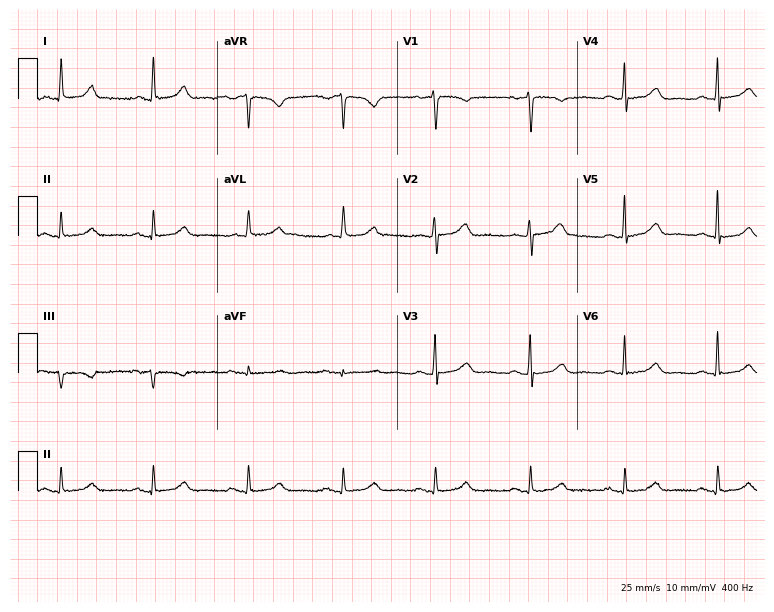
Electrocardiogram (7.3-second recording at 400 Hz), a 71-year-old female. Overall reading on record: normal ECG.